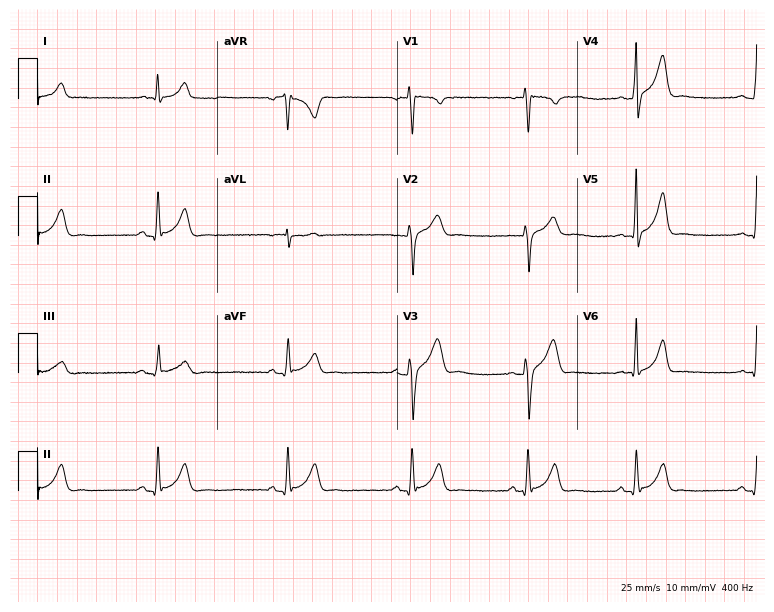
Resting 12-lead electrocardiogram (7.3-second recording at 400 Hz). Patient: a male, 25 years old. Read as a normal ECG.